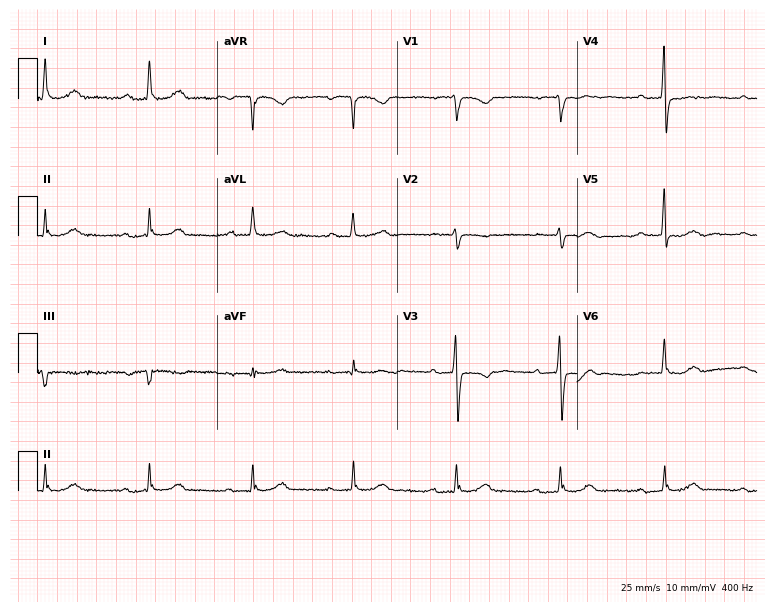
Standard 12-lead ECG recorded from a 75-year-old female (7.3-second recording at 400 Hz). None of these six findings is recorded: first-degree AV block, right bundle branch block, left bundle branch block, sinus bradycardia, atrial fibrillation, sinus tachycardia. Findings outside these six are not listed.